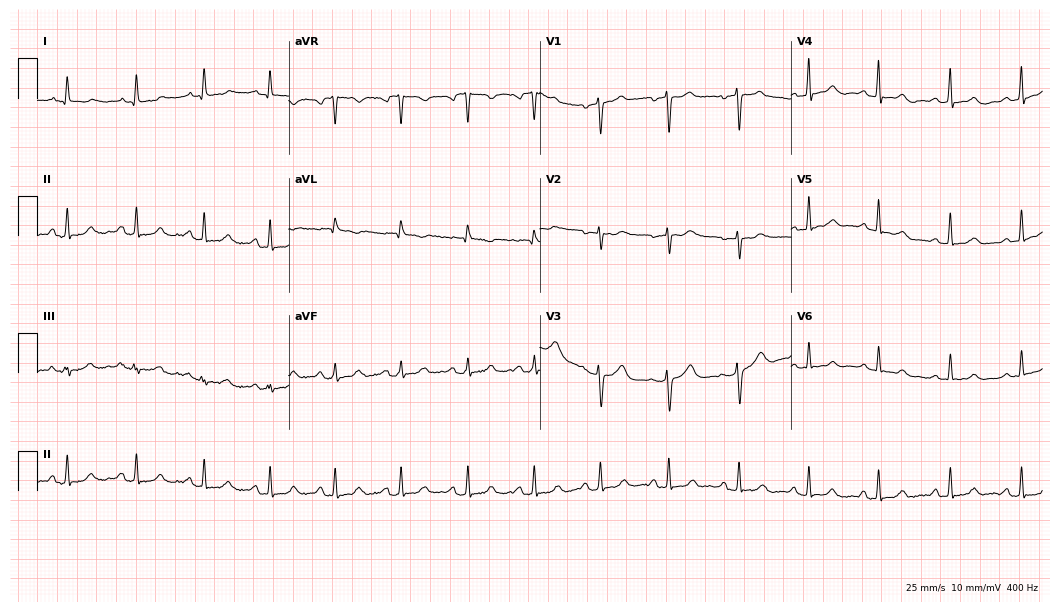
Resting 12-lead electrocardiogram (10.2-second recording at 400 Hz). Patient: a woman, 38 years old. None of these six findings is recorded: first-degree AV block, right bundle branch block (RBBB), left bundle branch block (LBBB), sinus bradycardia, atrial fibrillation (AF), sinus tachycardia.